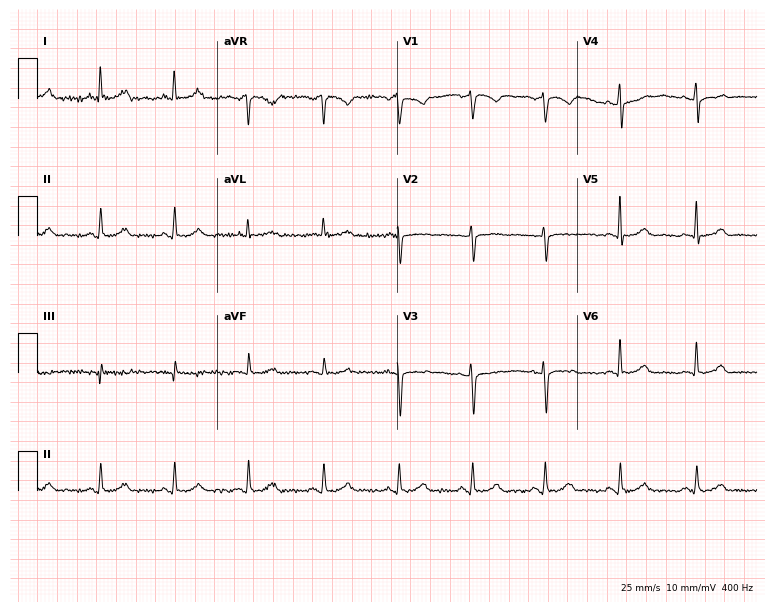
ECG (7.3-second recording at 400 Hz) — a 45-year-old female. Screened for six findings — first-degree AV block, right bundle branch block (RBBB), left bundle branch block (LBBB), sinus bradycardia, atrial fibrillation (AF), sinus tachycardia — none is recorded. Findings outside these six are not listed.